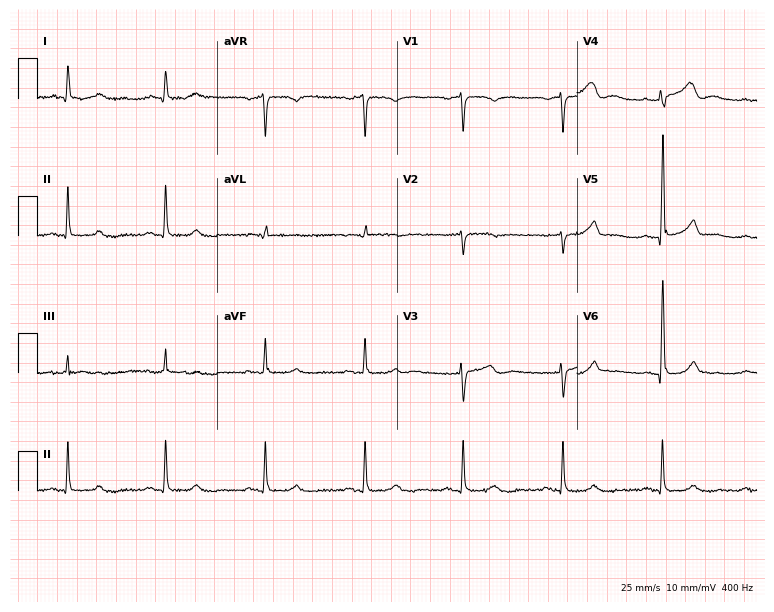
Electrocardiogram (7.3-second recording at 400 Hz), a 73-year-old male patient. Of the six screened findings (first-degree AV block, right bundle branch block (RBBB), left bundle branch block (LBBB), sinus bradycardia, atrial fibrillation (AF), sinus tachycardia), none is recorded.